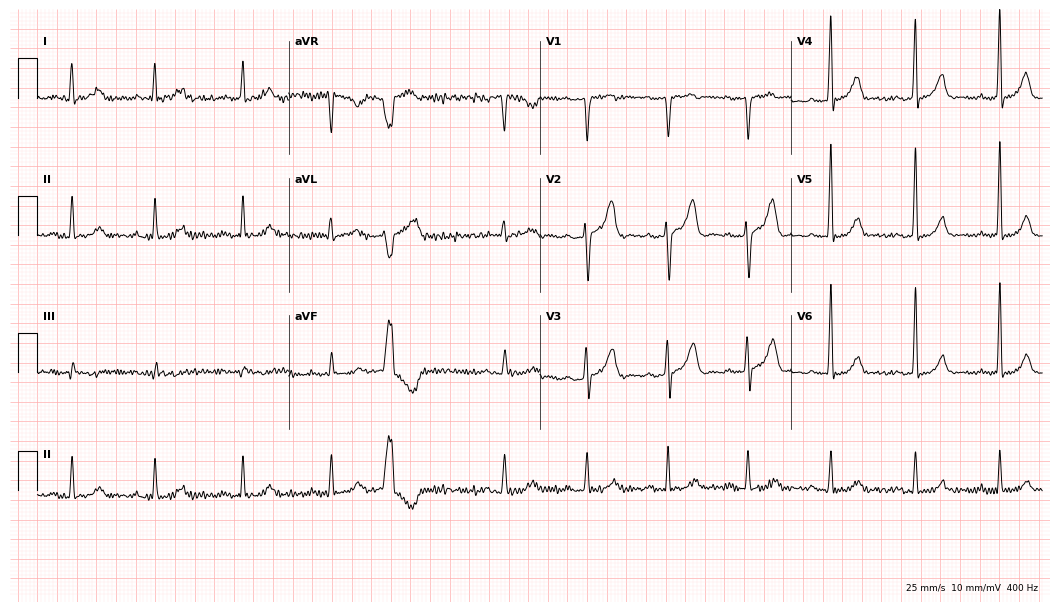
Resting 12-lead electrocardiogram. Patient: a man, 62 years old. None of these six findings is recorded: first-degree AV block, right bundle branch block, left bundle branch block, sinus bradycardia, atrial fibrillation, sinus tachycardia.